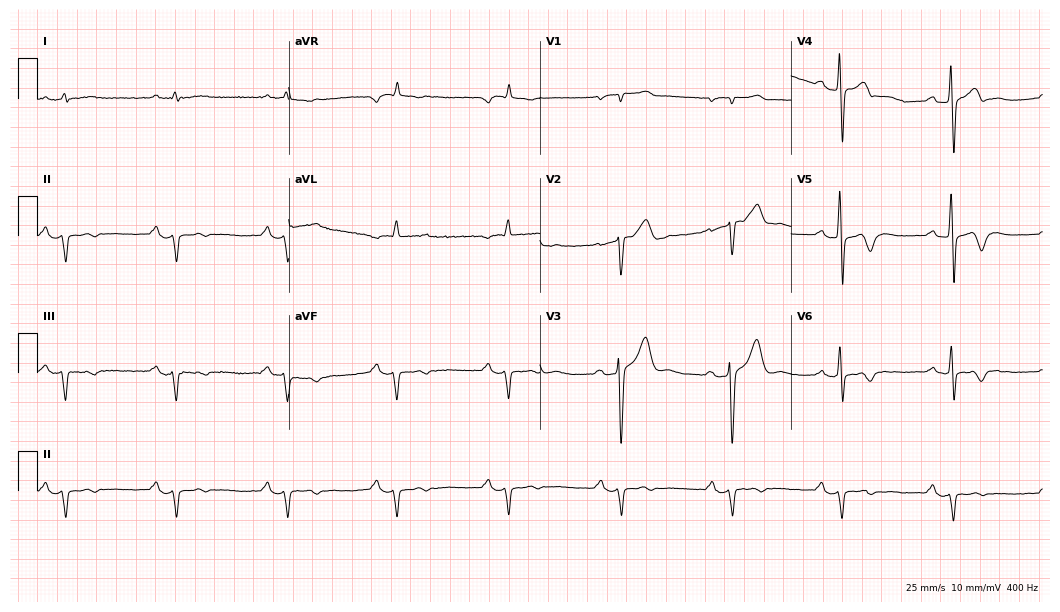
12-lead ECG from a 70-year-old man. No first-degree AV block, right bundle branch block, left bundle branch block, sinus bradycardia, atrial fibrillation or sinus tachycardia recorded for this tracing. Only these six findings were labelled.